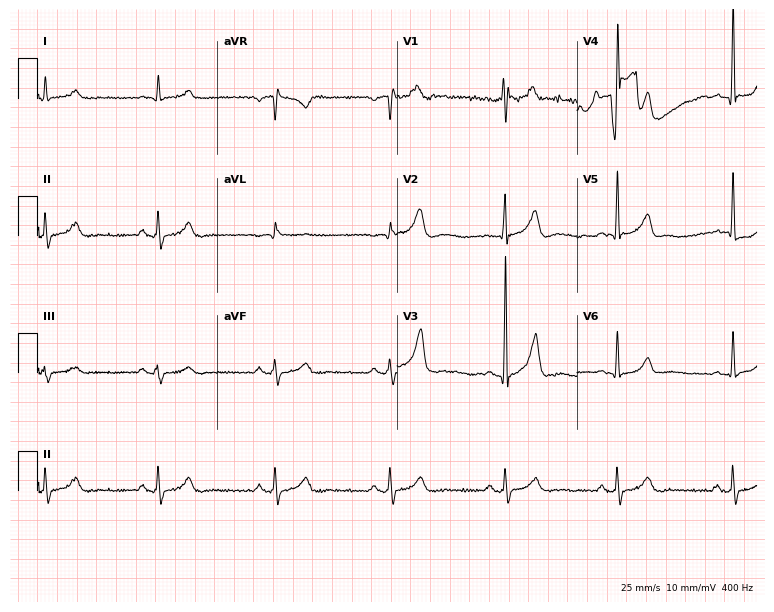
12-lead ECG from a 51-year-old man. Recorded interpretation: within normal limits.